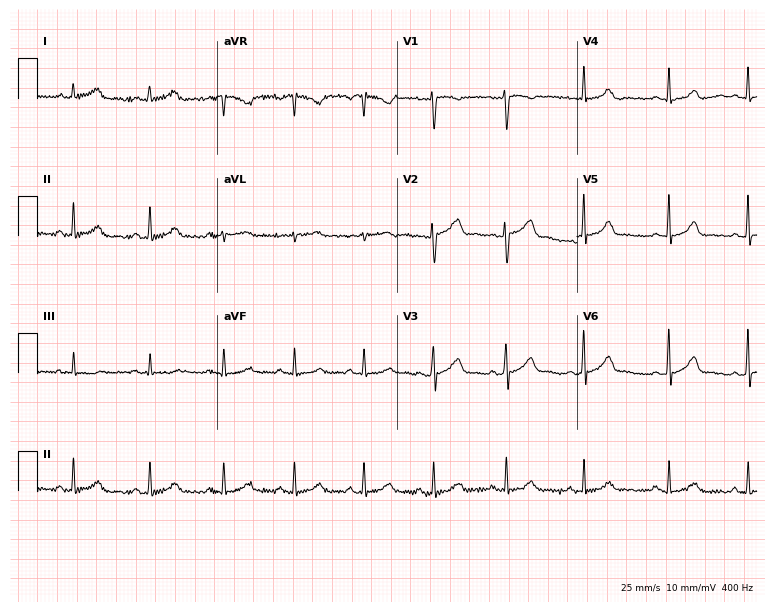
ECG — a male patient, 37 years old. Labelled as a normal ECG.